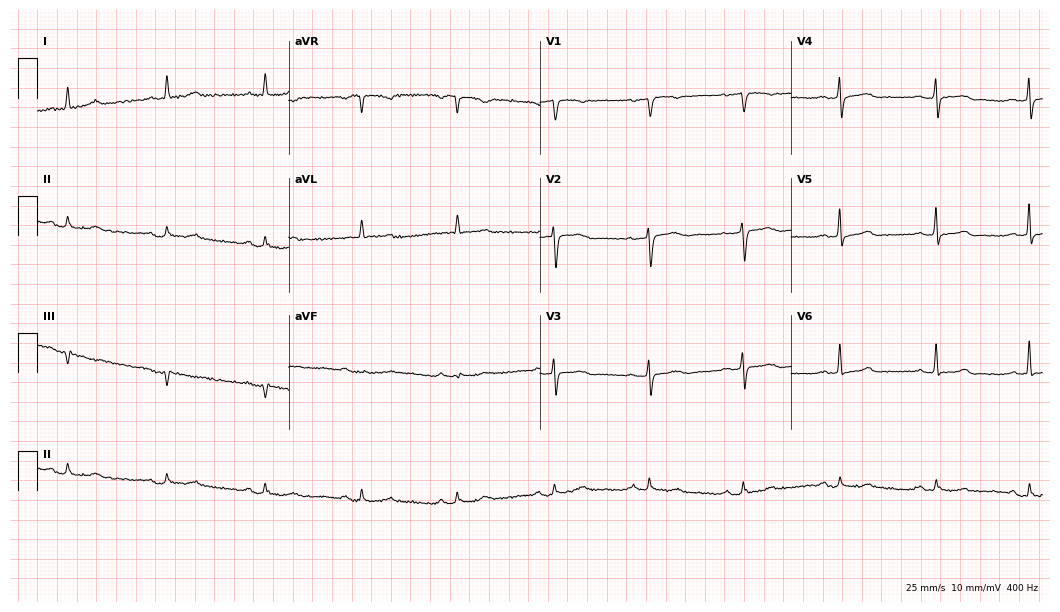
Electrocardiogram, a woman, 69 years old. Of the six screened findings (first-degree AV block, right bundle branch block, left bundle branch block, sinus bradycardia, atrial fibrillation, sinus tachycardia), none is recorded.